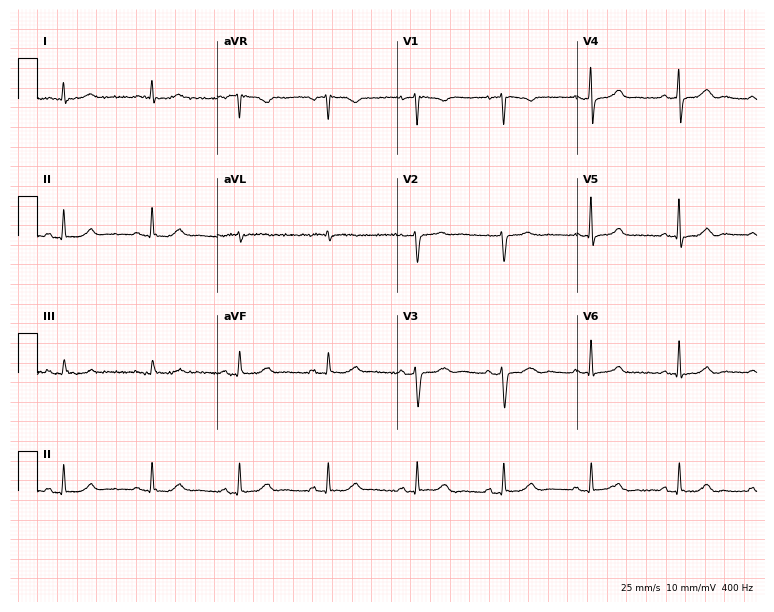
Standard 12-lead ECG recorded from a woman, 59 years old (7.3-second recording at 400 Hz). None of these six findings is recorded: first-degree AV block, right bundle branch block, left bundle branch block, sinus bradycardia, atrial fibrillation, sinus tachycardia.